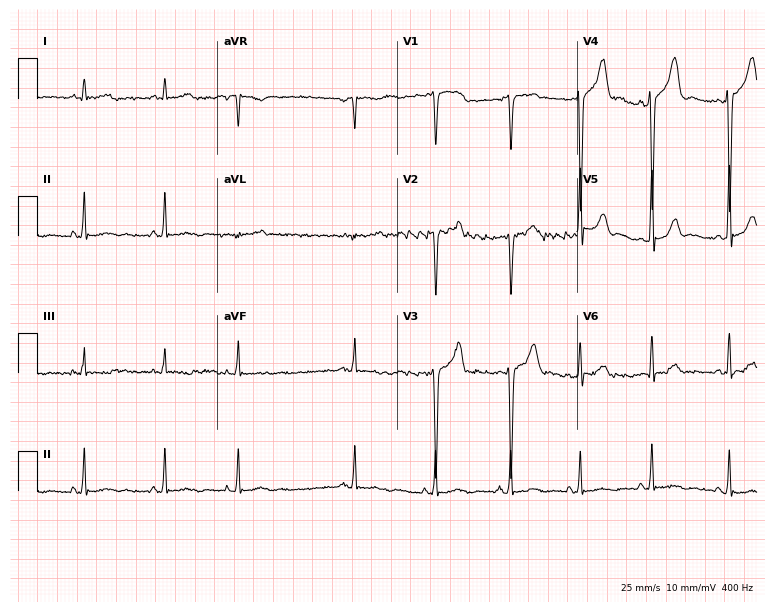
12-lead ECG (7.3-second recording at 400 Hz) from a male, 19 years old. Labelled as a normal ECG.